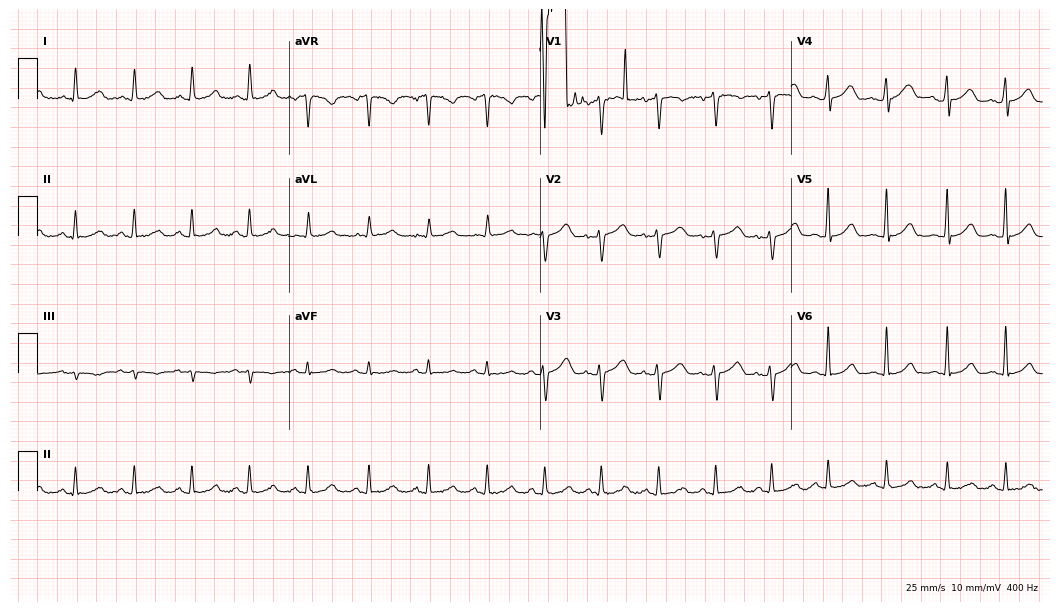
12-lead ECG from a 38-year-old female patient. Shows sinus tachycardia (a sinus rate of 100 beats per minute or more).